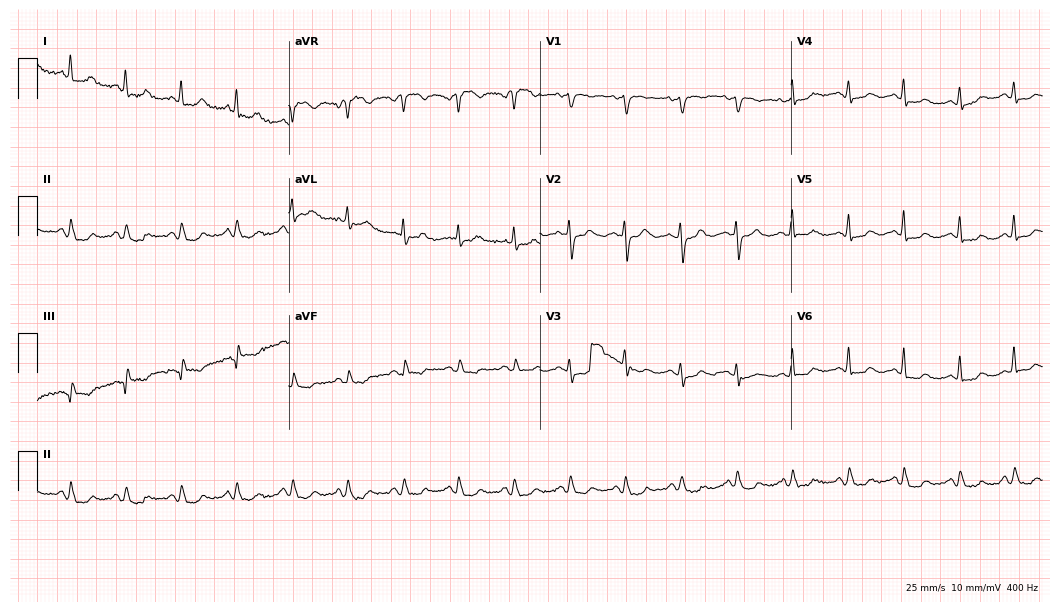
Resting 12-lead electrocardiogram (10.2-second recording at 400 Hz). Patient: a female, 82 years old. None of these six findings is recorded: first-degree AV block, right bundle branch block, left bundle branch block, sinus bradycardia, atrial fibrillation, sinus tachycardia. Findings outside these six are not listed.